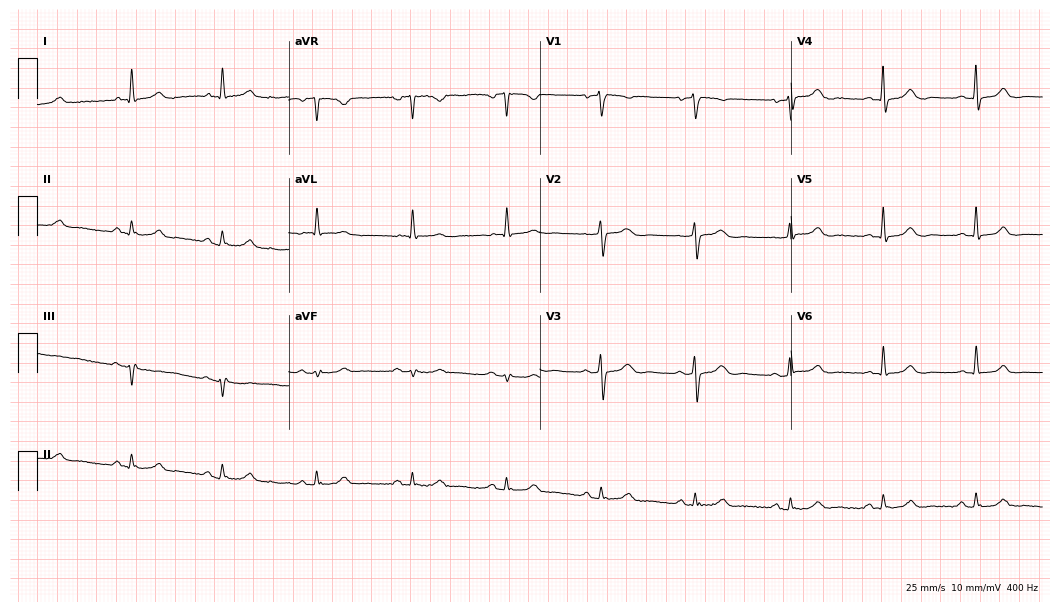
ECG (10.2-second recording at 400 Hz) — an 81-year-old female patient. Labelled as a normal ECG.